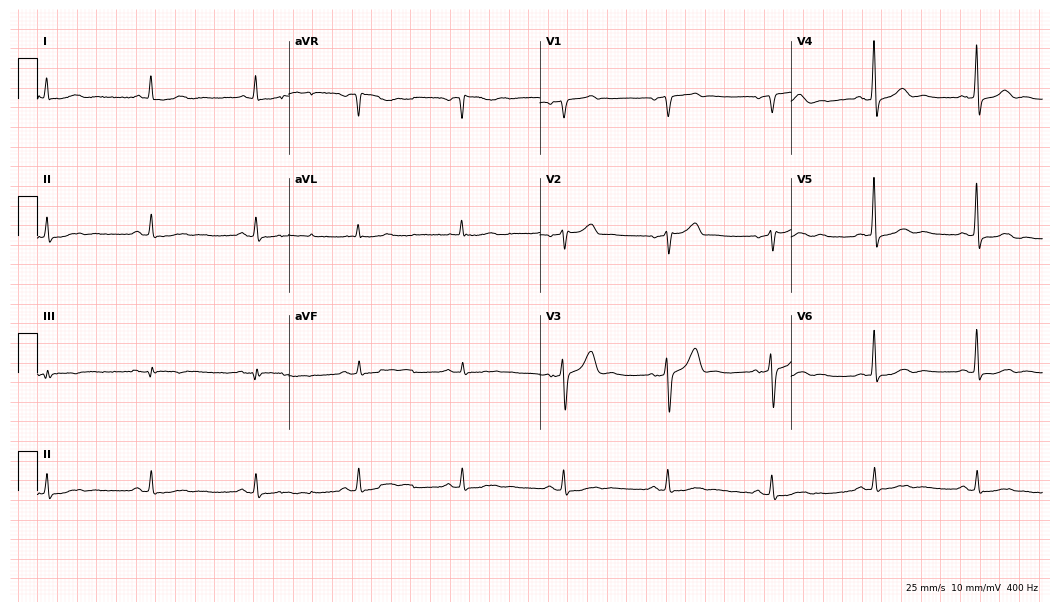
Standard 12-lead ECG recorded from a man, 72 years old (10.2-second recording at 400 Hz). None of these six findings is recorded: first-degree AV block, right bundle branch block (RBBB), left bundle branch block (LBBB), sinus bradycardia, atrial fibrillation (AF), sinus tachycardia. Only these six findings were labelled.